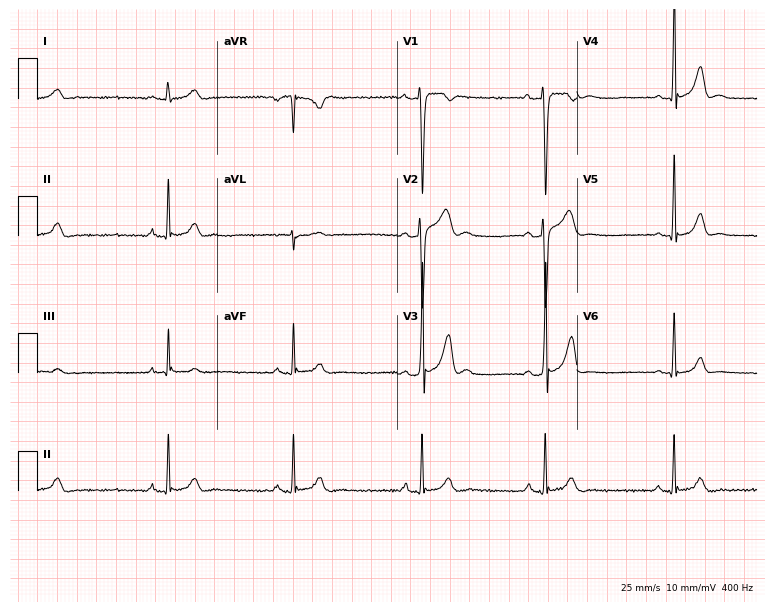
ECG — a 19-year-old man. Findings include sinus bradycardia (a sinus rate of 50 beats per minute or less).